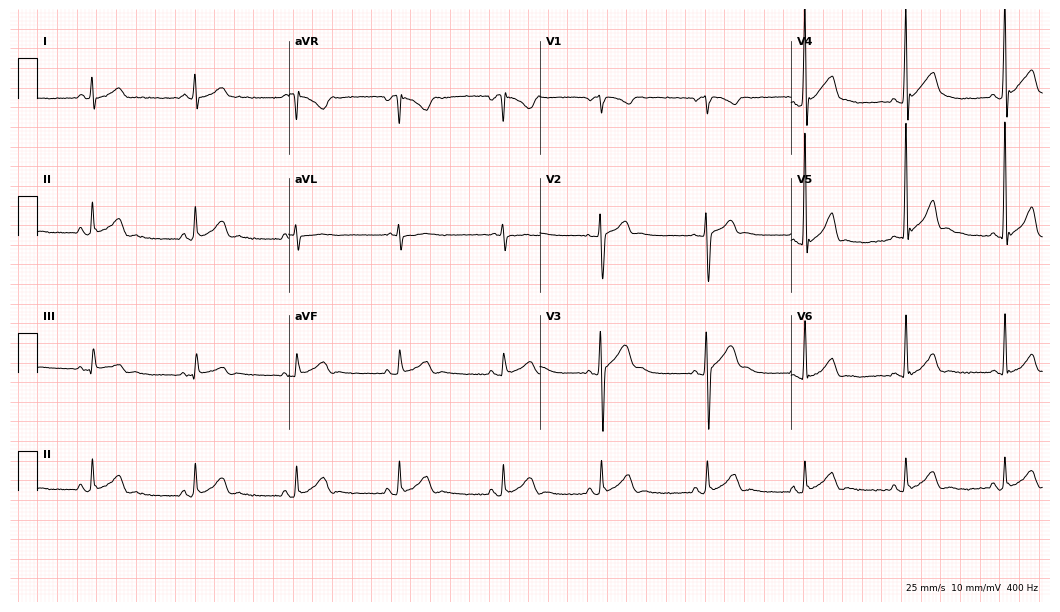
12-lead ECG from a 26-year-old male. Screened for six findings — first-degree AV block, right bundle branch block (RBBB), left bundle branch block (LBBB), sinus bradycardia, atrial fibrillation (AF), sinus tachycardia — none is recorded. Findings outside these six are not listed.